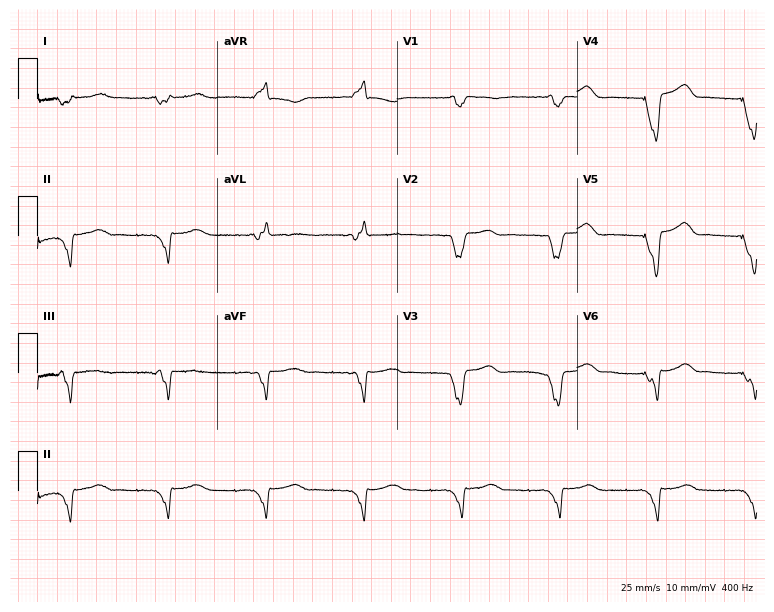
Standard 12-lead ECG recorded from a female patient, 45 years old. None of these six findings is recorded: first-degree AV block, right bundle branch block, left bundle branch block, sinus bradycardia, atrial fibrillation, sinus tachycardia. Only these six findings were labelled.